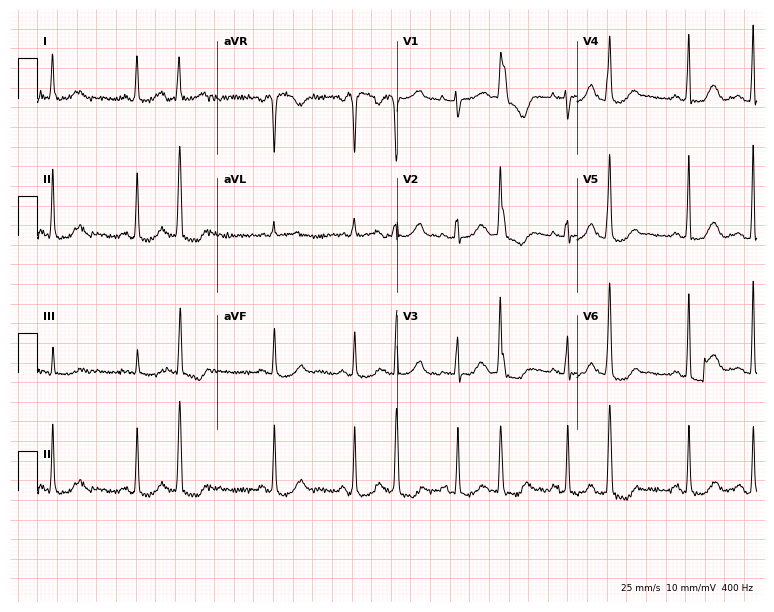
ECG (7.3-second recording at 400 Hz) — a 78-year-old female. Screened for six findings — first-degree AV block, right bundle branch block, left bundle branch block, sinus bradycardia, atrial fibrillation, sinus tachycardia — none is recorded.